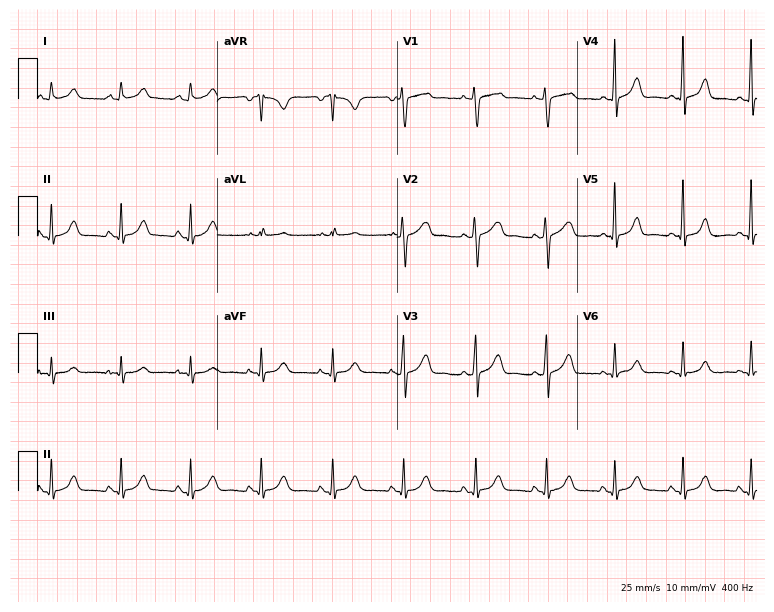
12-lead ECG from a woman, 25 years old. Labelled as a normal ECG.